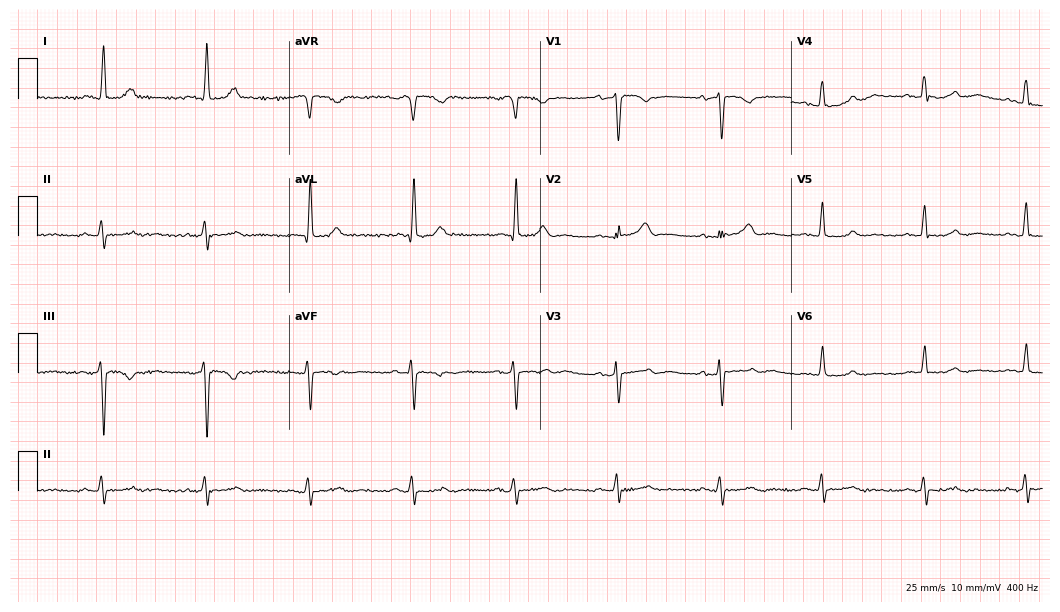
12-lead ECG from a female patient, 72 years old (10.2-second recording at 400 Hz). Recorded interpretation: within normal limits.